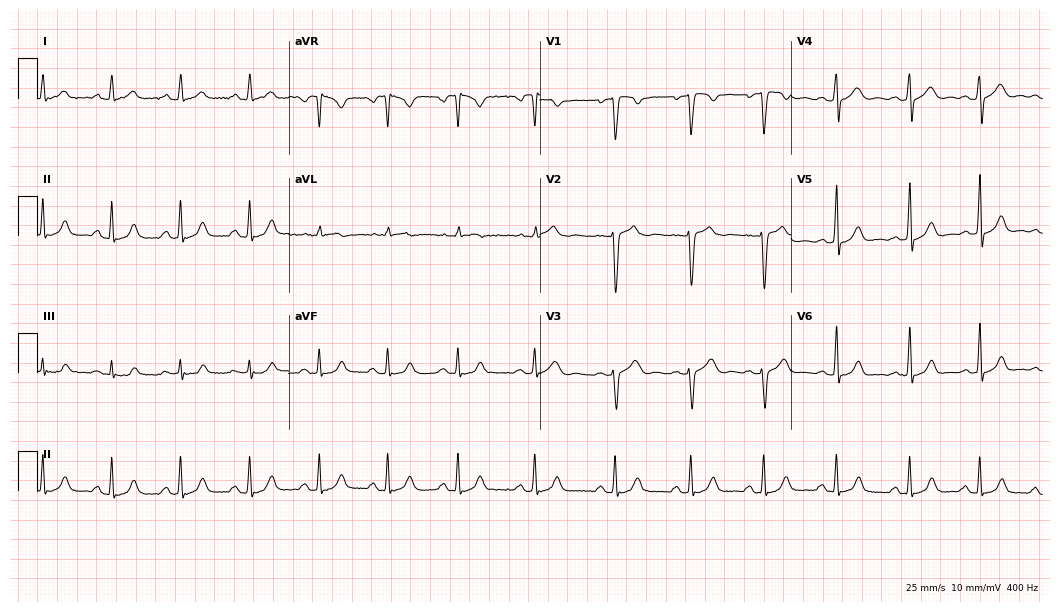
Resting 12-lead electrocardiogram (10.2-second recording at 400 Hz). Patient: a female, 20 years old. Read as a normal ECG.